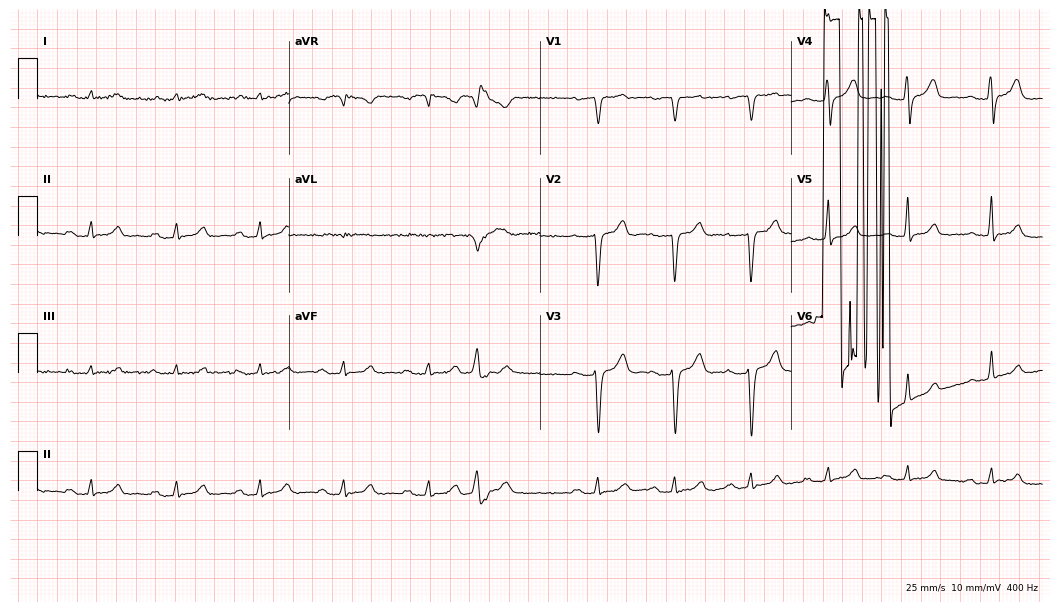
Electrocardiogram (10.2-second recording at 400 Hz), a man, 65 years old. Interpretation includes first-degree AV block.